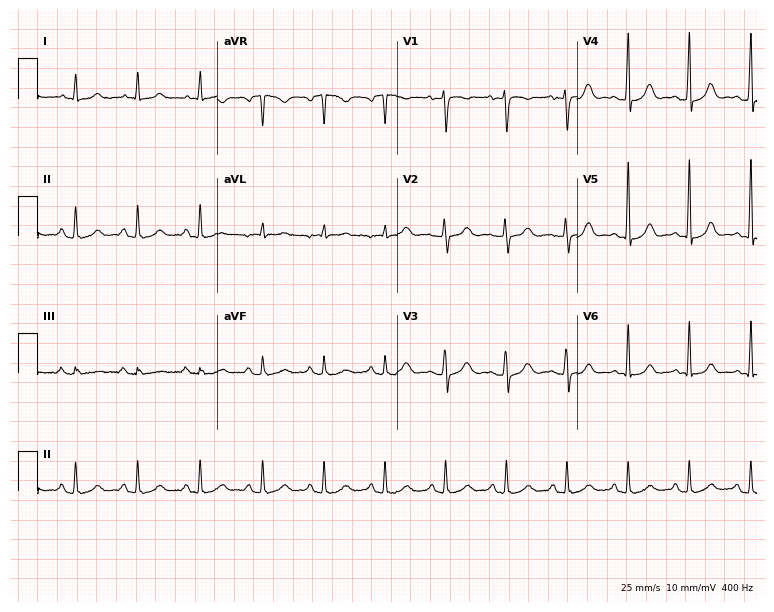
12-lead ECG (7.3-second recording at 400 Hz) from a female patient, 23 years old. Labelled as a normal ECG.